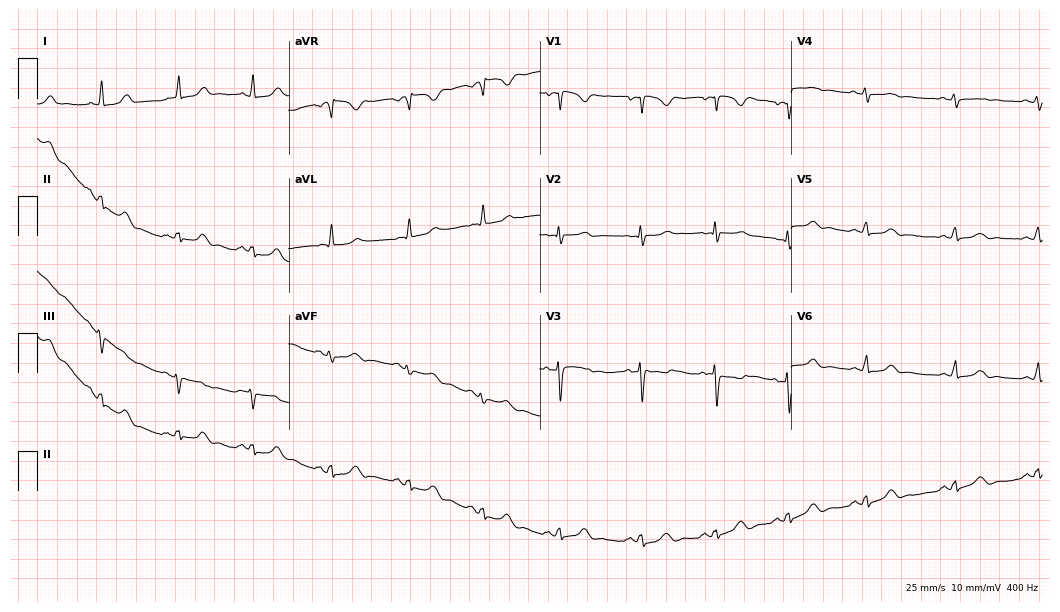
ECG — a 39-year-old female patient. Screened for six findings — first-degree AV block, right bundle branch block, left bundle branch block, sinus bradycardia, atrial fibrillation, sinus tachycardia — none is recorded.